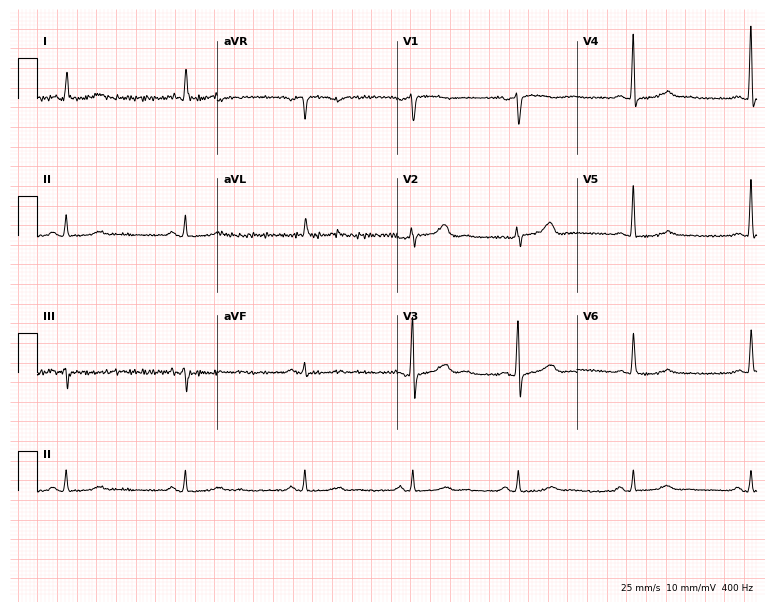
12-lead ECG (7.3-second recording at 400 Hz) from a 60-year-old woman. Findings include sinus bradycardia (a sinus rate of 50 beats per minute or less).